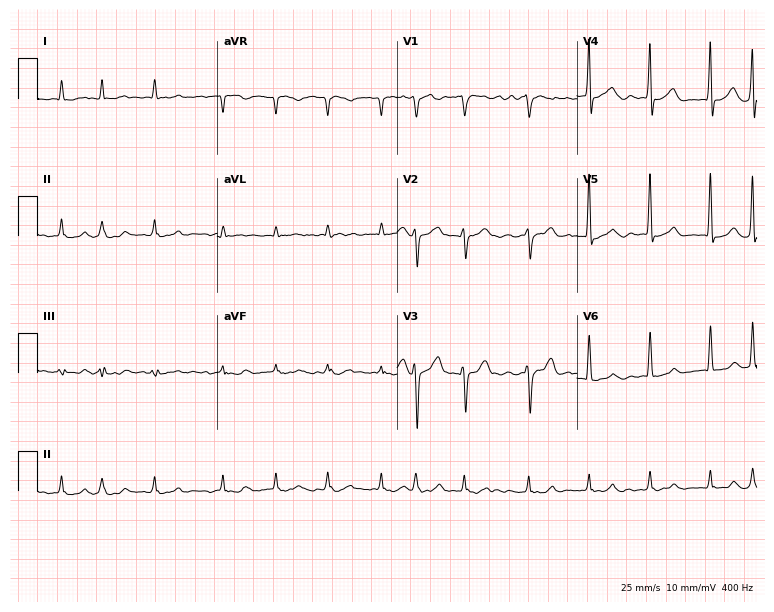
Resting 12-lead electrocardiogram. Patient: a man, 77 years old. The tracing shows atrial fibrillation.